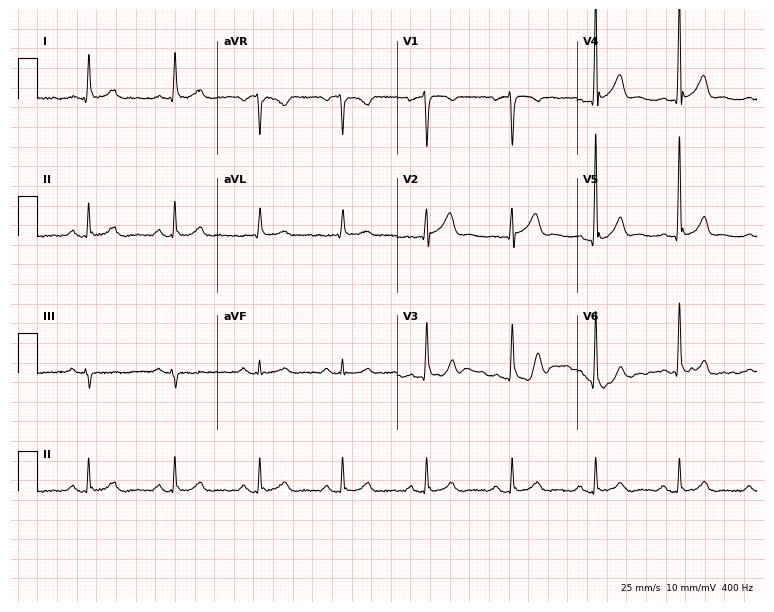
Electrocardiogram, a 52-year-old male. Of the six screened findings (first-degree AV block, right bundle branch block (RBBB), left bundle branch block (LBBB), sinus bradycardia, atrial fibrillation (AF), sinus tachycardia), none is recorded. Findings outside these six are not listed.